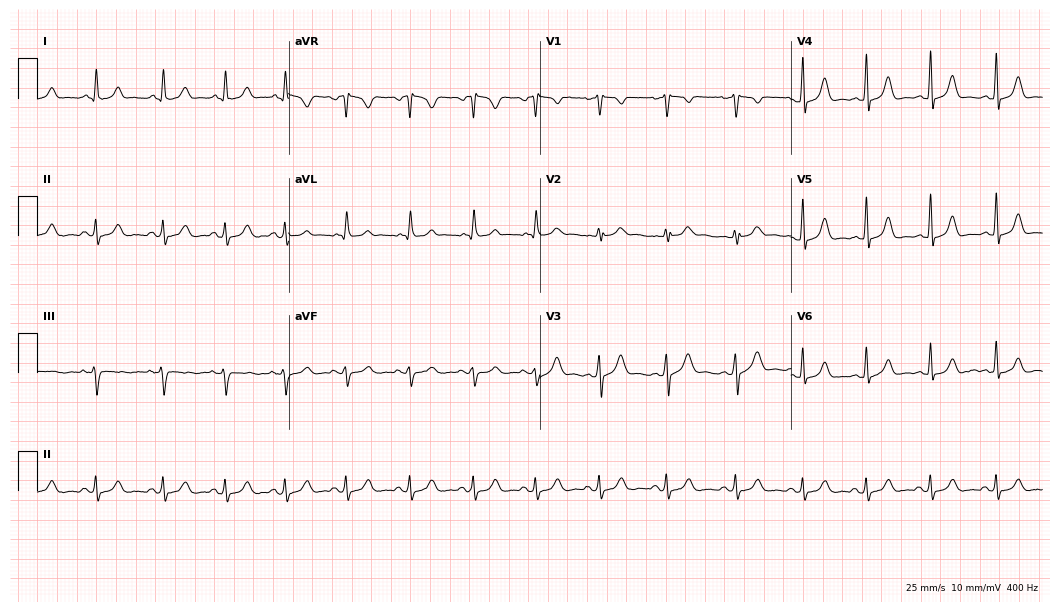
Standard 12-lead ECG recorded from a woman, 27 years old (10.2-second recording at 400 Hz). None of these six findings is recorded: first-degree AV block, right bundle branch block, left bundle branch block, sinus bradycardia, atrial fibrillation, sinus tachycardia. Findings outside these six are not listed.